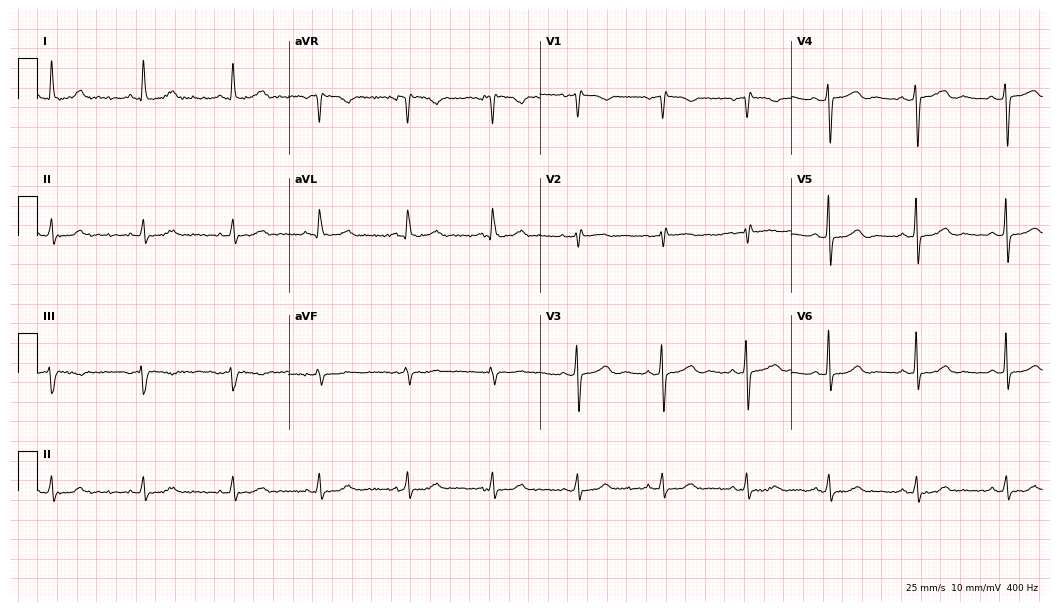
12-lead ECG from a 45-year-old female patient (10.2-second recording at 400 Hz). No first-degree AV block, right bundle branch block (RBBB), left bundle branch block (LBBB), sinus bradycardia, atrial fibrillation (AF) or sinus tachycardia recorded for this tracing.